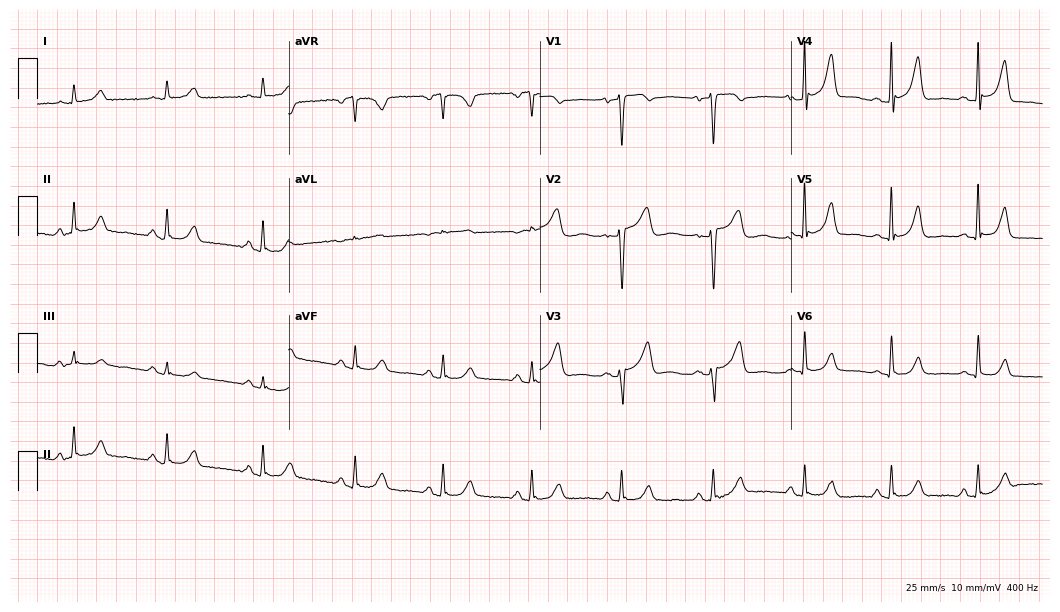
Electrocardiogram, a woman, 53 years old. Overall reading on record: normal ECG.